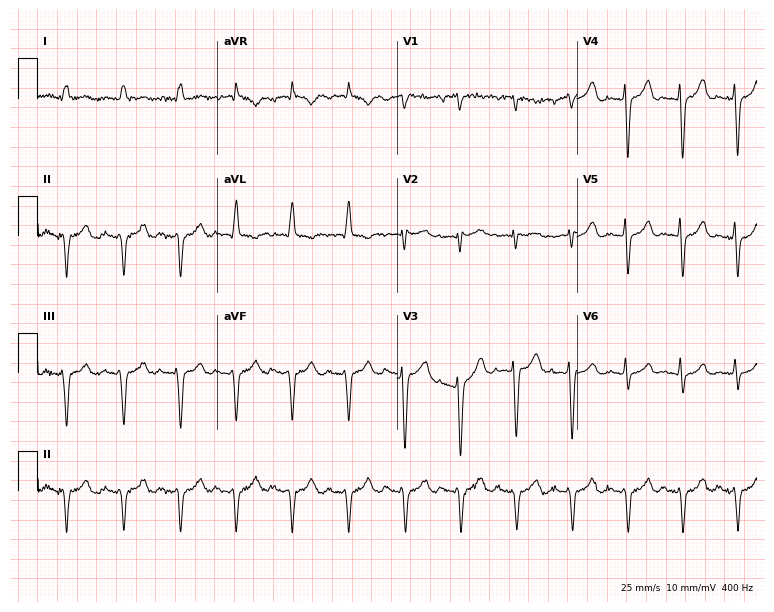
12-lead ECG from a male, 82 years old. Findings include sinus tachycardia (a sinus rate of 100 beats per minute or more).